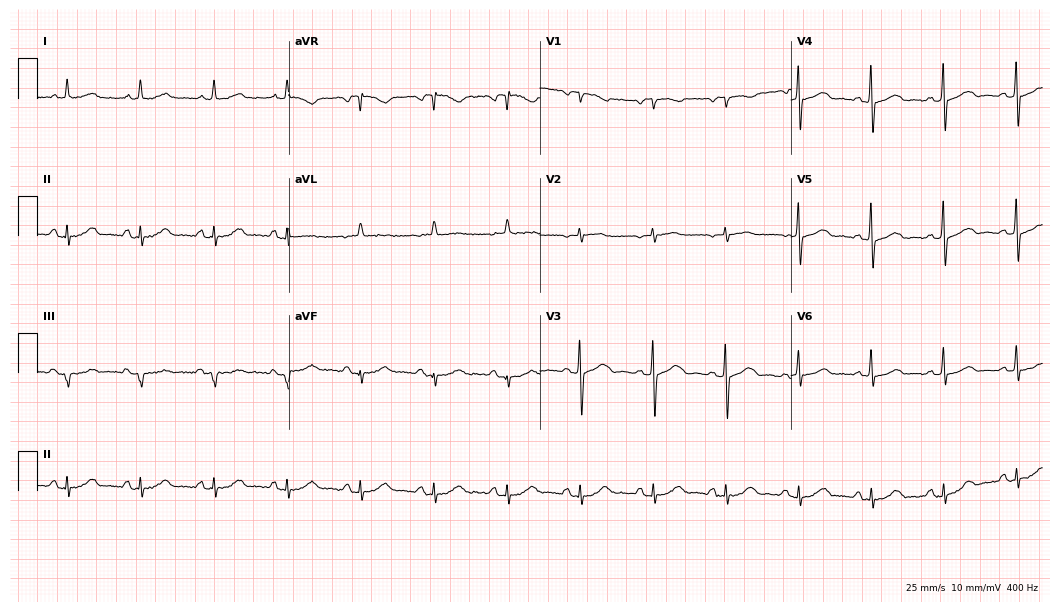
ECG (10.2-second recording at 400 Hz) — a female, 78 years old. Screened for six findings — first-degree AV block, right bundle branch block, left bundle branch block, sinus bradycardia, atrial fibrillation, sinus tachycardia — none is recorded.